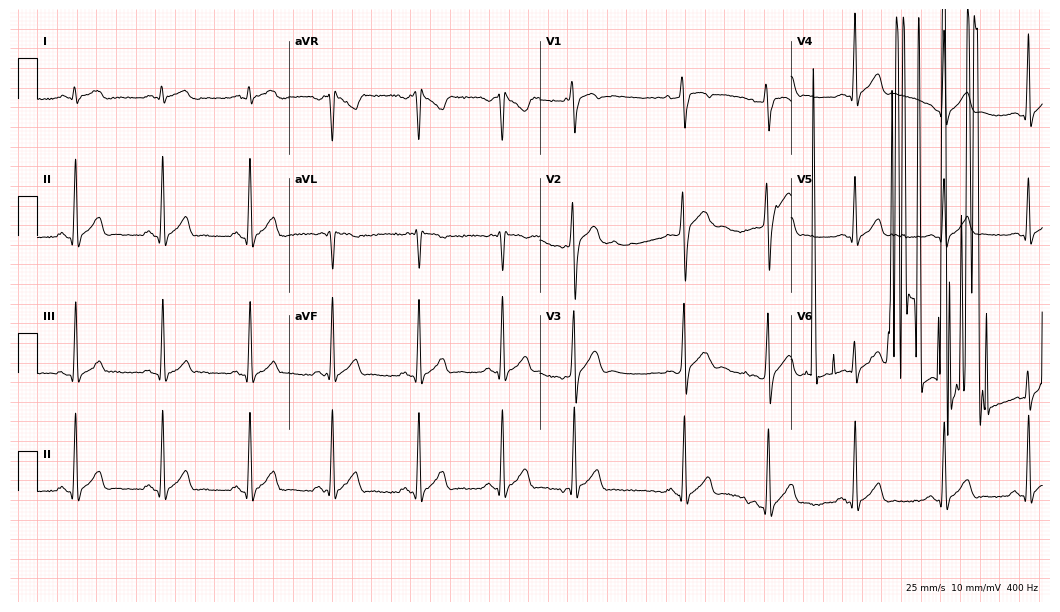
ECG — a 20-year-old male patient. Screened for six findings — first-degree AV block, right bundle branch block (RBBB), left bundle branch block (LBBB), sinus bradycardia, atrial fibrillation (AF), sinus tachycardia — none is recorded.